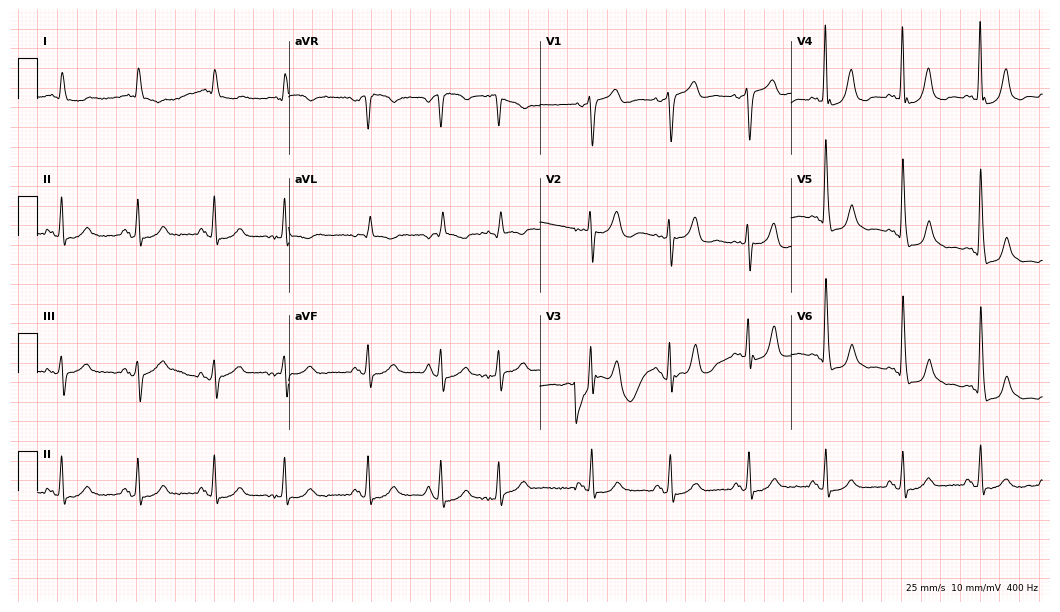
Standard 12-lead ECG recorded from an 84-year-old woman. None of these six findings is recorded: first-degree AV block, right bundle branch block (RBBB), left bundle branch block (LBBB), sinus bradycardia, atrial fibrillation (AF), sinus tachycardia. Only these six findings were labelled.